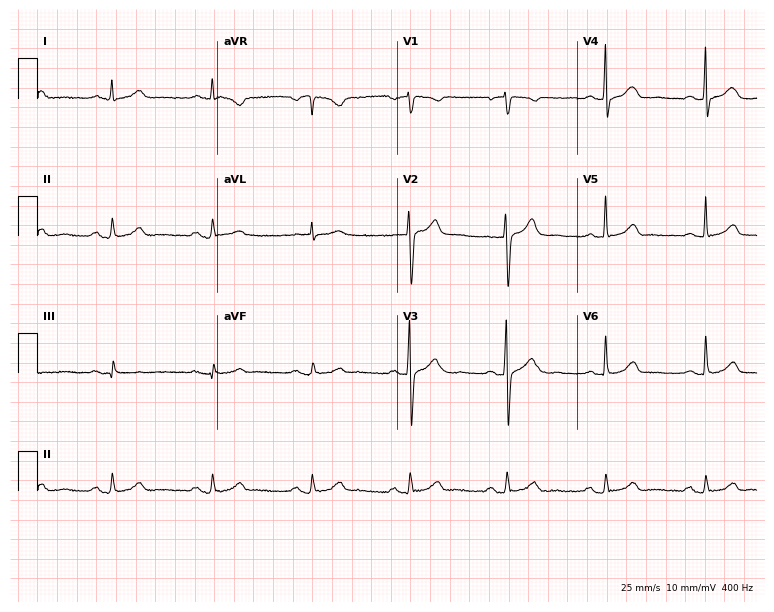
Electrocardiogram, a 54-year-old woman. Of the six screened findings (first-degree AV block, right bundle branch block, left bundle branch block, sinus bradycardia, atrial fibrillation, sinus tachycardia), none is recorded. Findings outside these six are not listed.